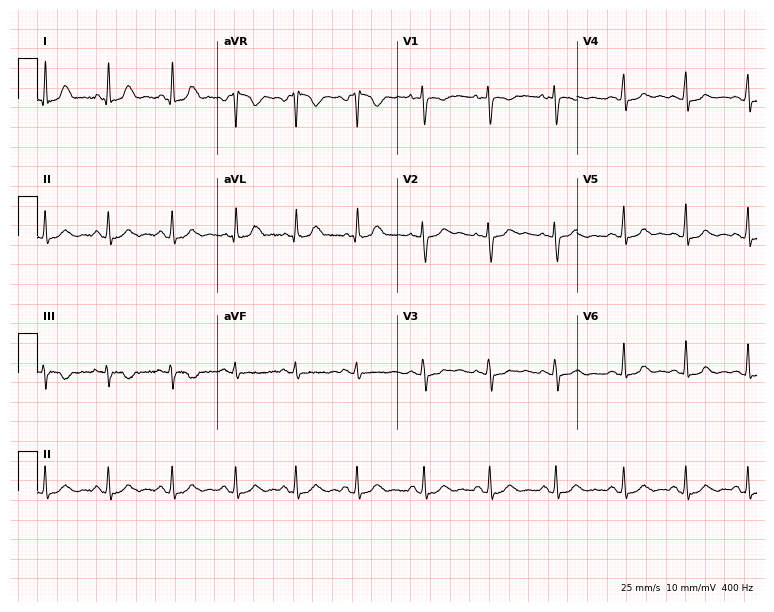
12-lead ECG from a 28-year-old female. Screened for six findings — first-degree AV block, right bundle branch block, left bundle branch block, sinus bradycardia, atrial fibrillation, sinus tachycardia — none is recorded.